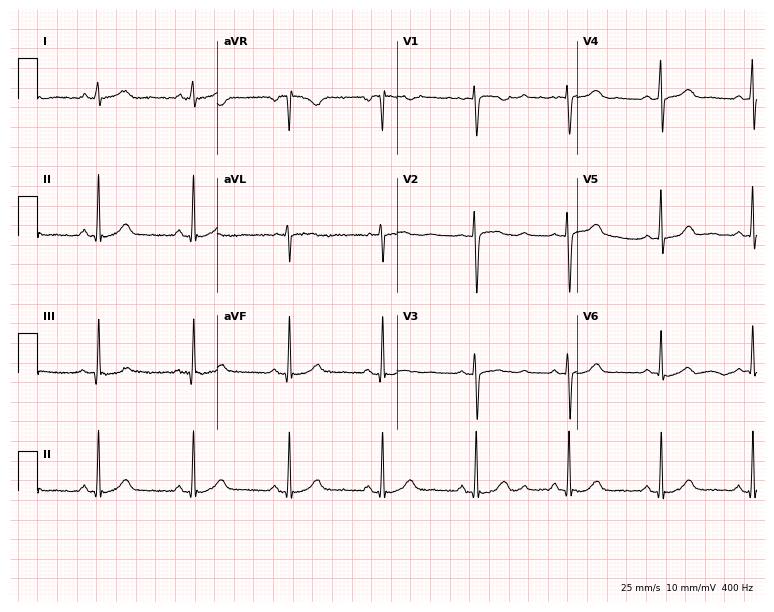
Standard 12-lead ECG recorded from a woman, 55 years old (7.3-second recording at 400 Hz). Read as a normal ECG.